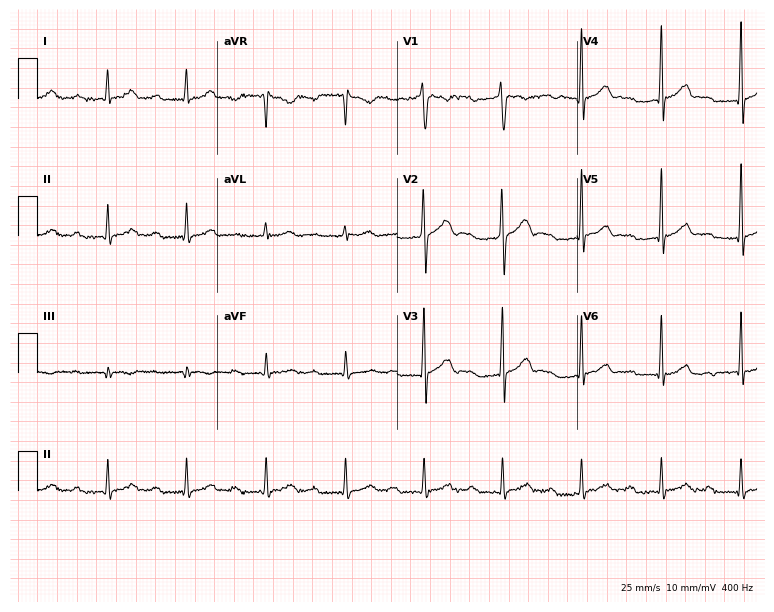
ECG (7.3-second recording at 400 Hz) — a 28-year-old male. Labelled as a normal ECG.